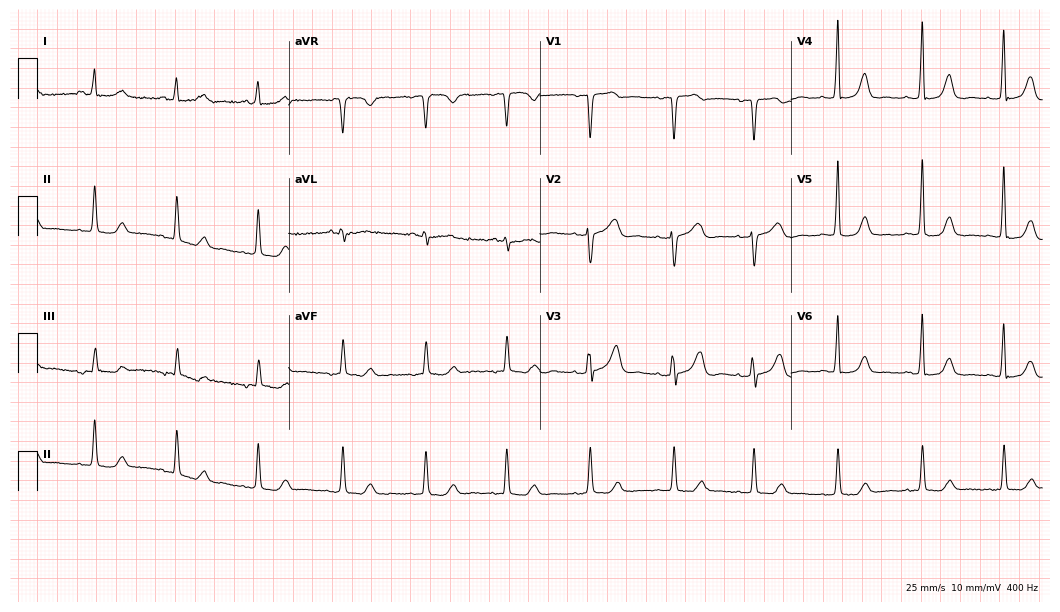
Electrocardiogram, a female patient, 78 years old. Overall reading on record: normal ECG.